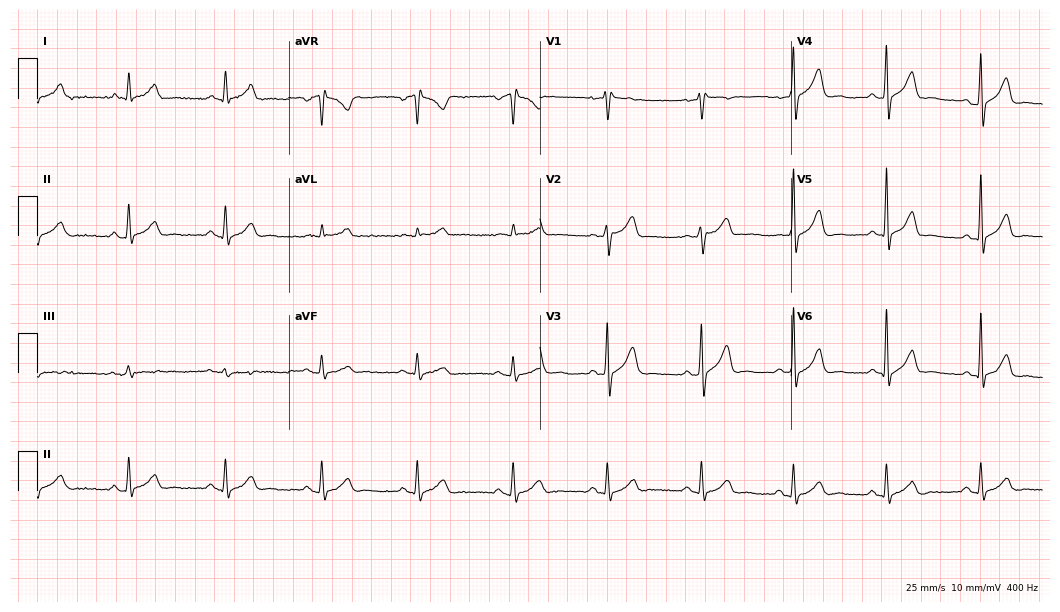
ECG — a male patient, 59 years old. Screened for six findings — first-degree AV block, right bundle branch block, left bundle branch block, sinus bradycardia, atrial fibrillation, sinus tachycardia — none is recorded.